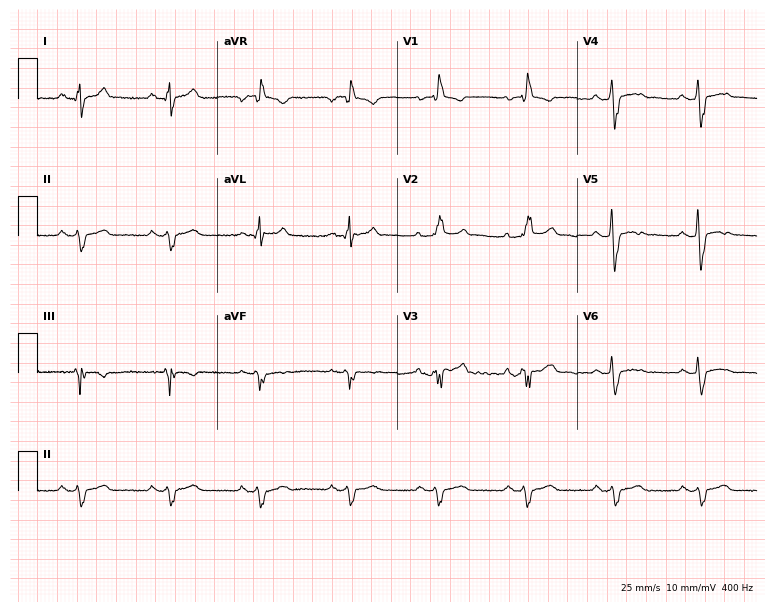
Resting 12-lead electrocardiogram (7.3-second recording at 400 Hz). Patient: a male, 45 years old. The tracing shows right bundle branch block.